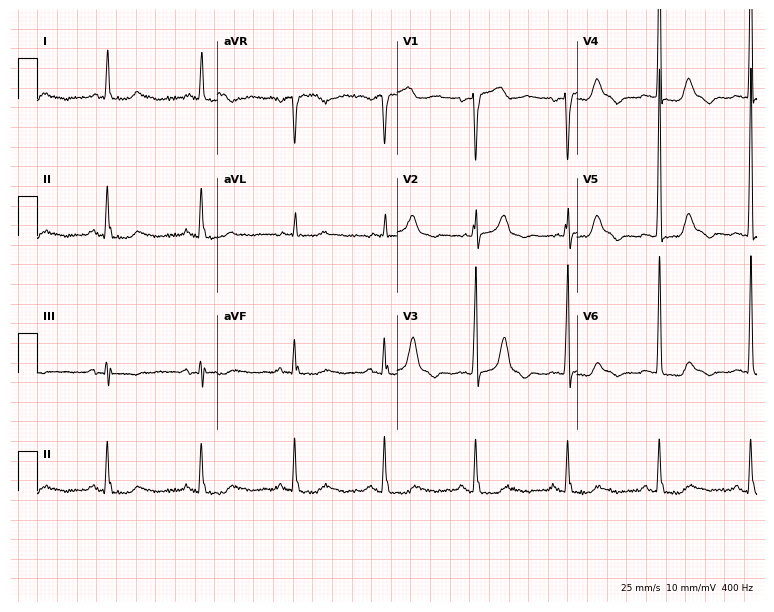
ECG (7.3-second recording at 400 Hz) — a female, 62 years old. Labelled as a normal ECG.